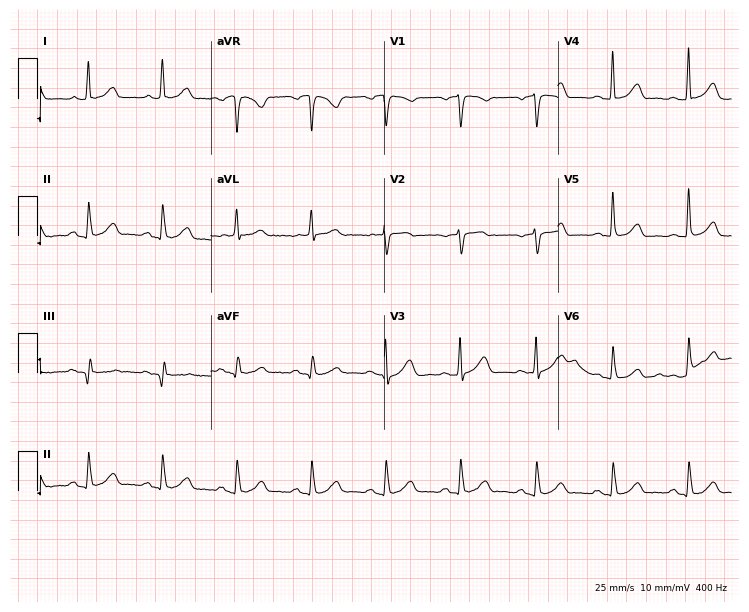
Resting 12-lead electrocardiogram. Patient: a female, 79 years old. None of these six findings is recorded: first-degree AV block, right bundle branch block, left bundle branch block, sinus bradycardia, atrial fibrillation, sinus tachycardia.